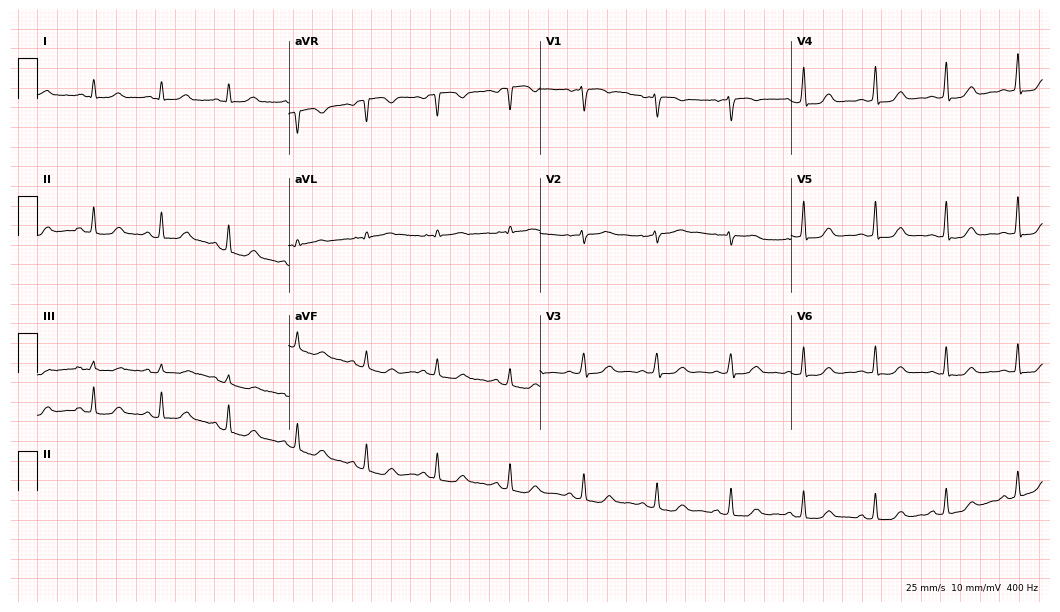
ECG — a 48-year-old woman. Labelled as a normal ECG.